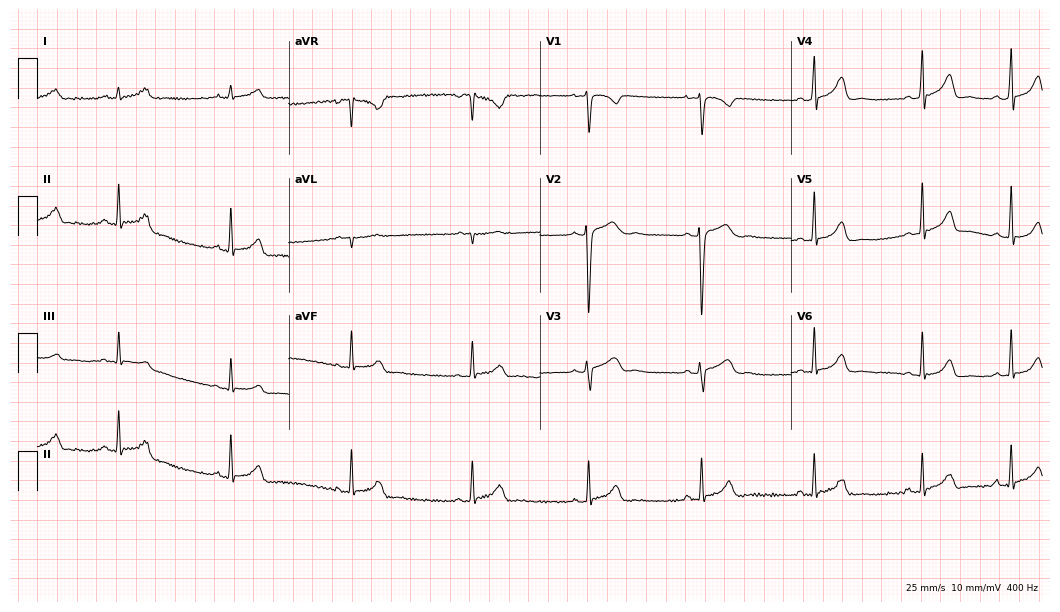
Standard 12-lead ECG recorded from a female patient, 23 years old (10.2-second recording at 400 Hz). Read as a normal ECG.